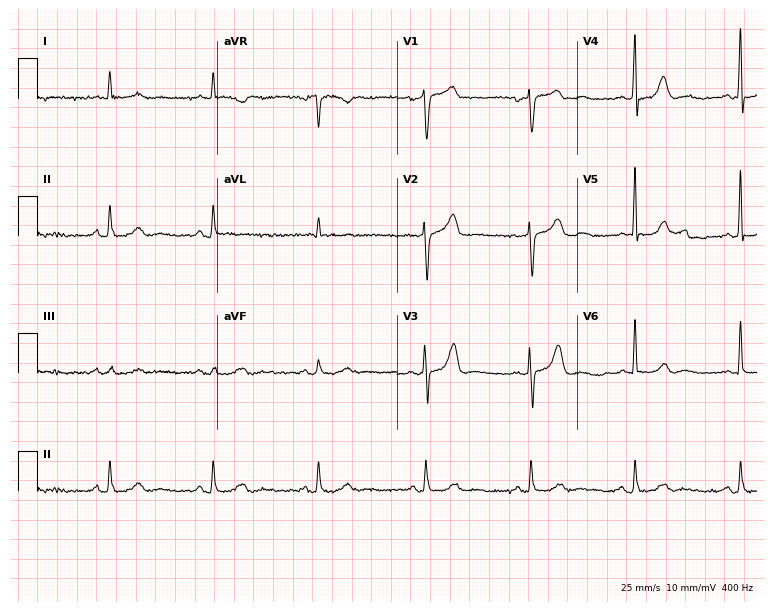
12-lead ECG (7.3-second recording at 400 Hz) from an 80-year-old man. Labelled as a normal ECG.